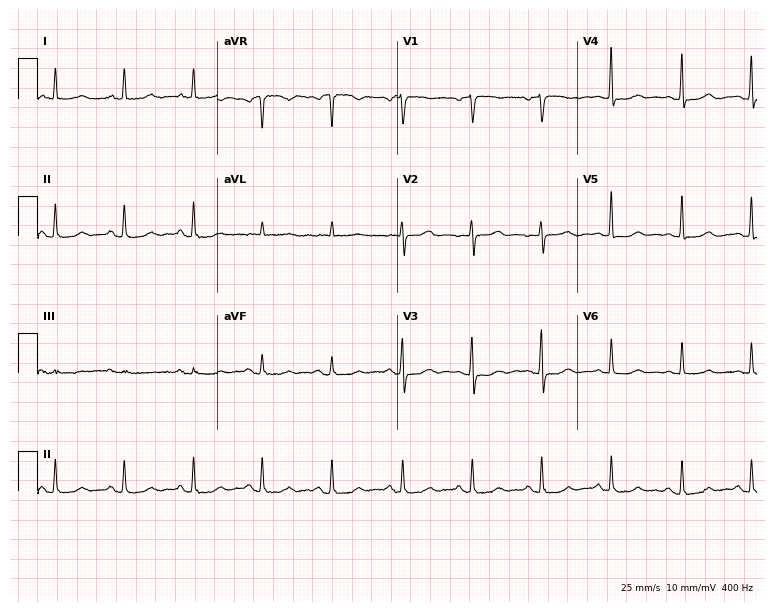
Resting 12-lead electrocardiogram. Patient: a female, 78 years old. None of these six findings is recorded: first-degree AV block, right bundle branch block, left bundle branch block, sinus bradycardia, atrial fibrillation, sinus tachycardia.